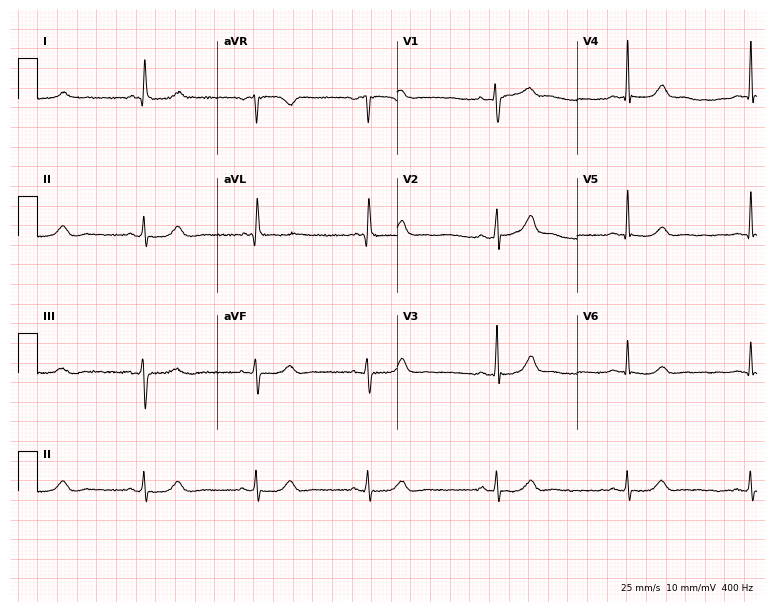
12-lead ECG from a 47-year-old female patient (7.3-second recording at 400 Hz). Shows sinus bradycardia (a sinus rate of 50 beats per minute or less).